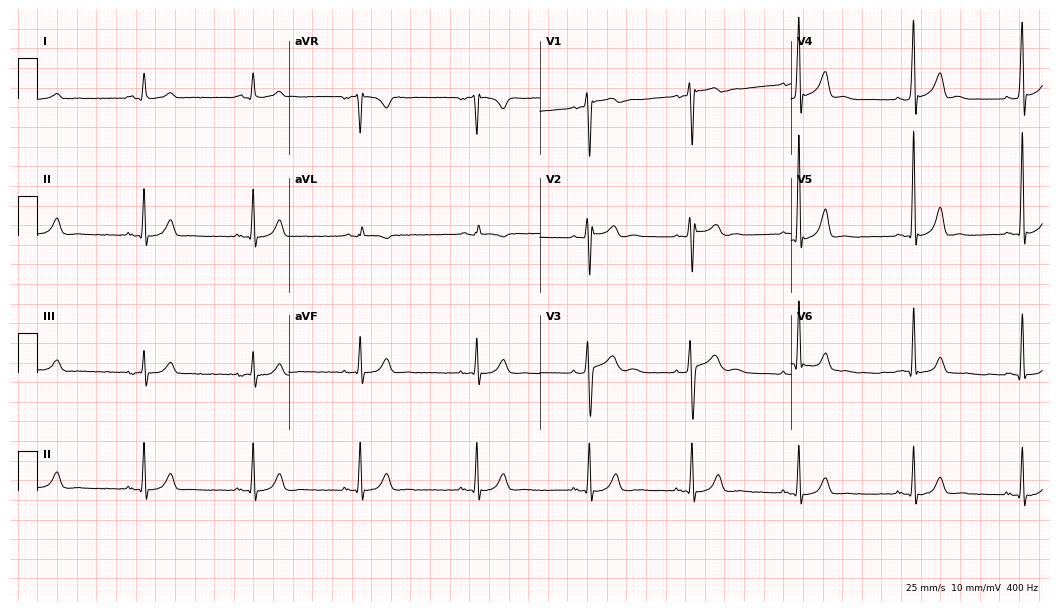
12-lead ECG from a male patient, 28 years old (10.2-second recording at 400 Hz). Recorded interpretation: within normal limits.